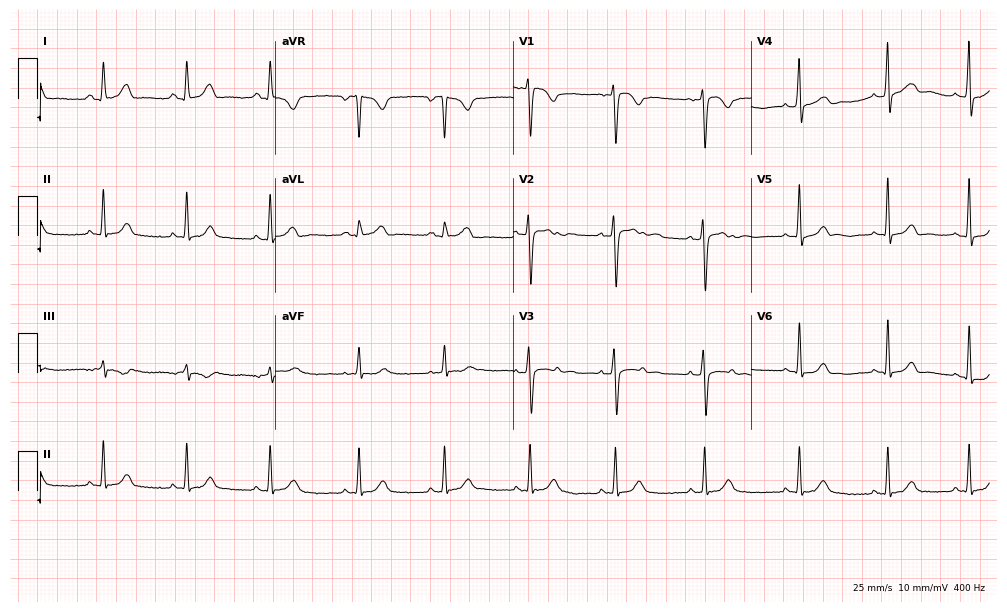
Resting 12-lead electrocardiogram. Patient: a 17-year-old female. Read as a normal ECG.